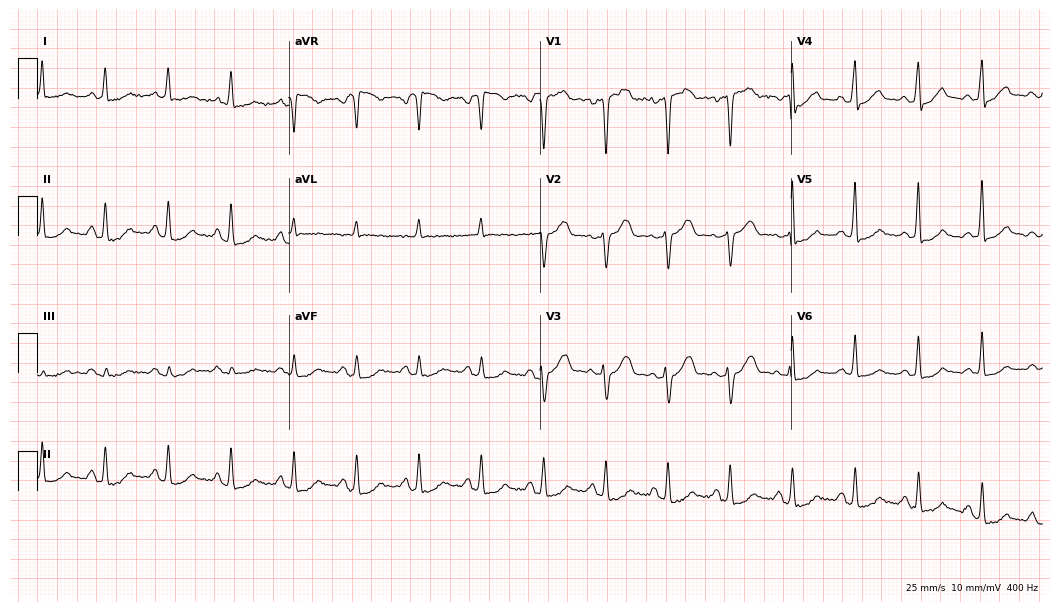
Electrocardiogram, a female, 62 years old. Overall reading on record: normal ECG.